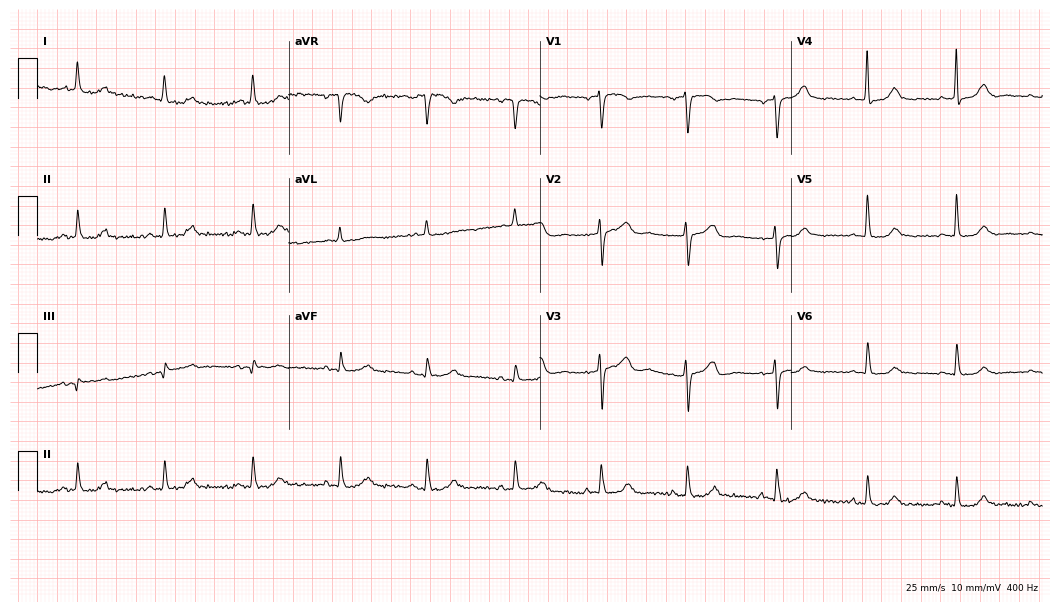
ECG — a female, 83 years old. Labelled as a normal ECG.